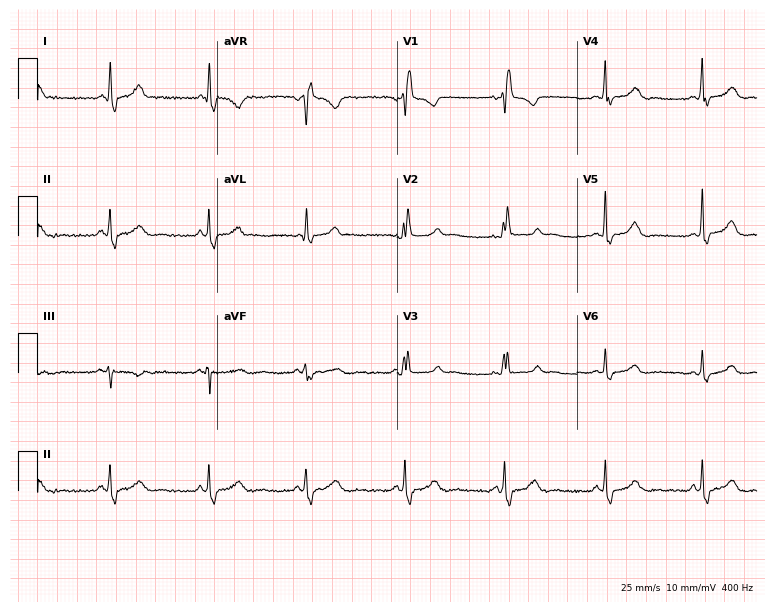
12-lead ECG from a woman, 65 years old. Findings include right bundle branch block.